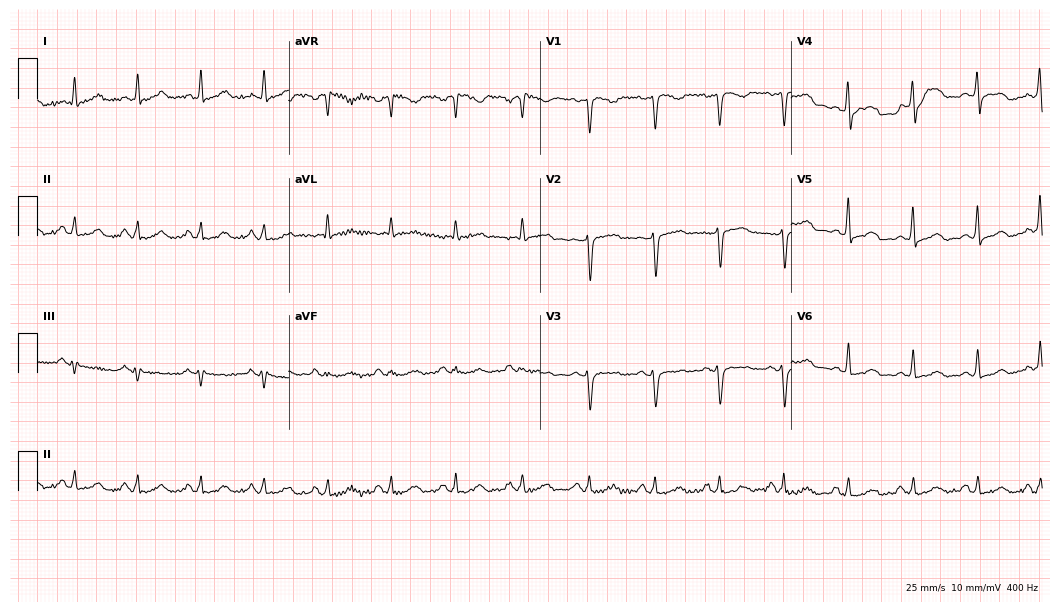
12-lead ECG from a female patient, 46 years old. Recorded interpretation: within normal limits.